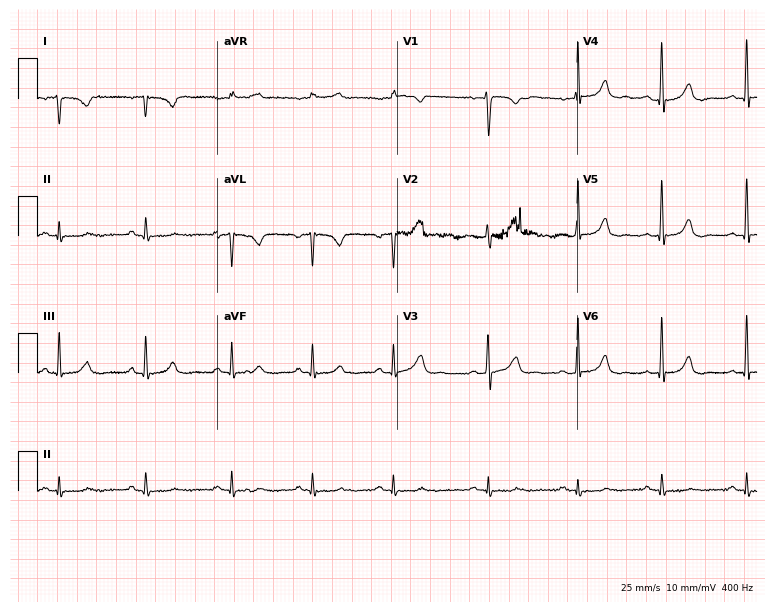
Standard 12-lead ECG recorded from a 31-year-old woman (7.3-second recording at 400 Hz). None of these six findings is recorded: first-degree AV block, right bundle branch block, left bundle branch block, sinus bradycardia, atrial fibrillation, sinus tachycardia. Other findings, if any, are not listed.